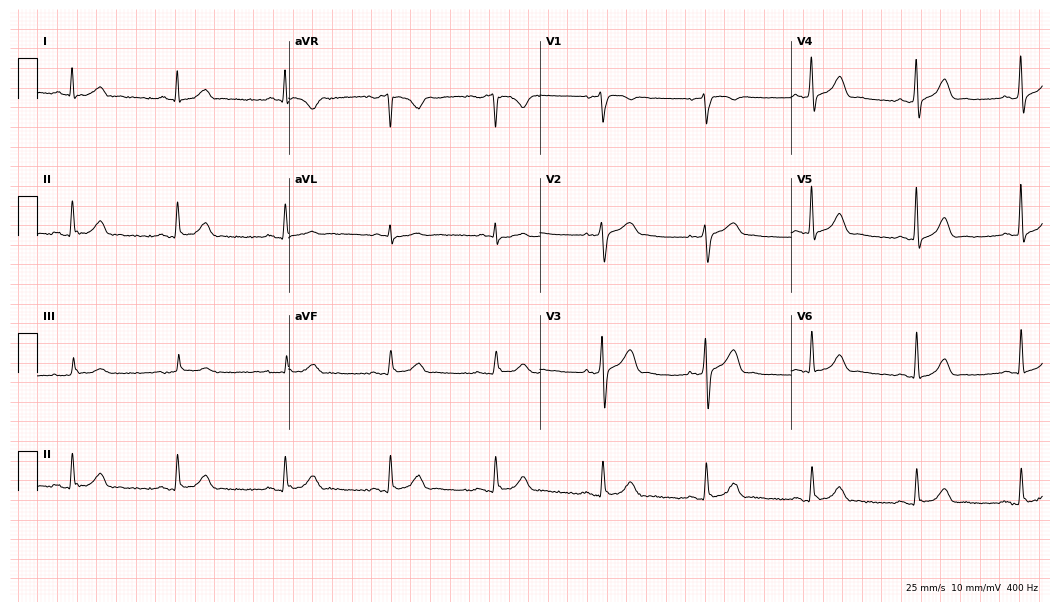
Electrocardiogram, a 69-year-old man. Of the six screened findings (first-degree AV block, right bundle branch block (RBBB), left bundle branch block (LBBB), sinus bradycardia, atrial fibrillation (AF), sinus tachycardia), none is recorded. Only these six findings were labelled.